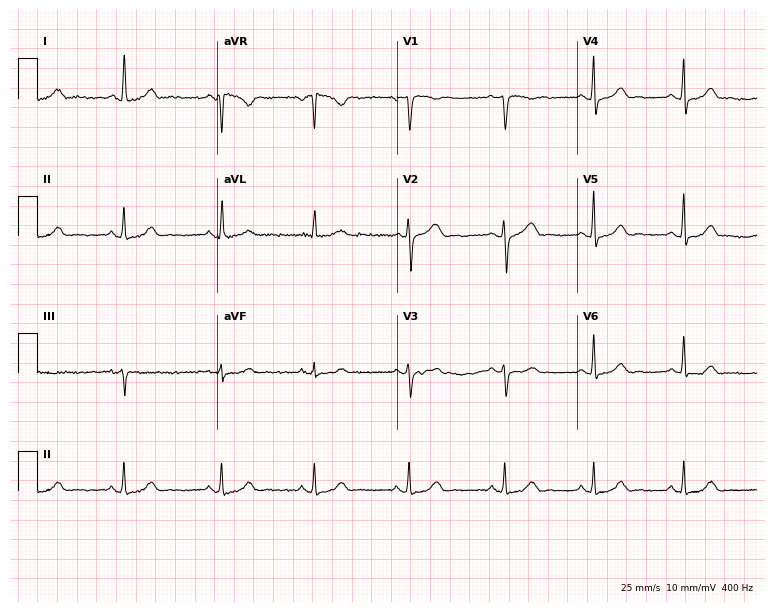
12-lead ECG (7.3-second recording at 400 Hz) from a 41-year-old woman. Labelled as a normal ECG.